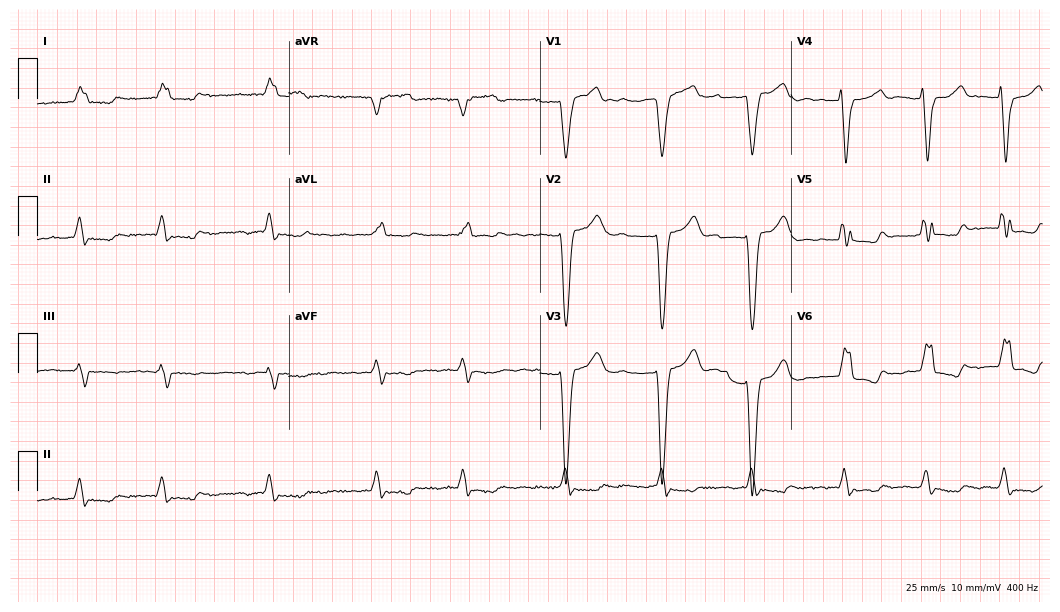
Standard 12-lead ECG recorded from a female, 79 years old (10.2-second recording at 400 Hz). The tracing shows left bundle branch block (LBBB), atrial fibrillation (AF).